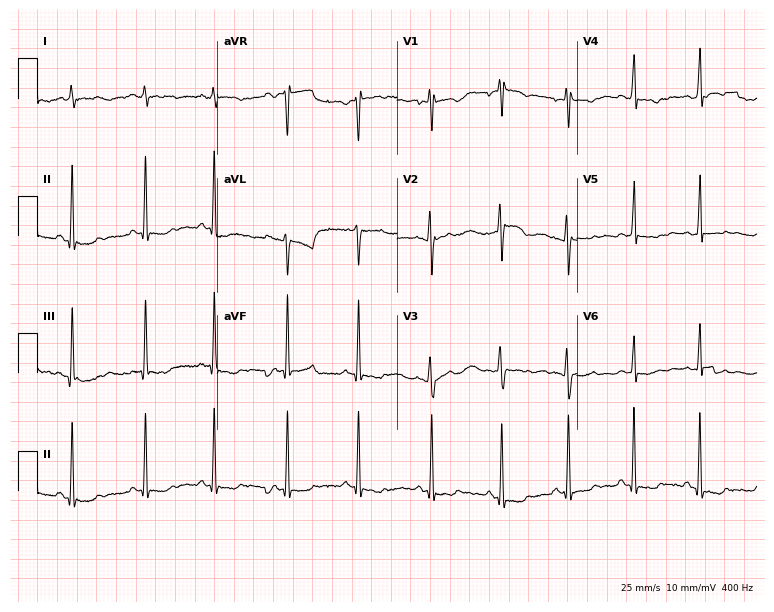
Resting 12-lead electrocardiogram. Patient: a woman, 20 years old. None of these six findings is recorded: first-degree AV block, right bundle branch block, left bundle branch block, sinus bradycardia, atrial fibrillation, sinus tachycardia.